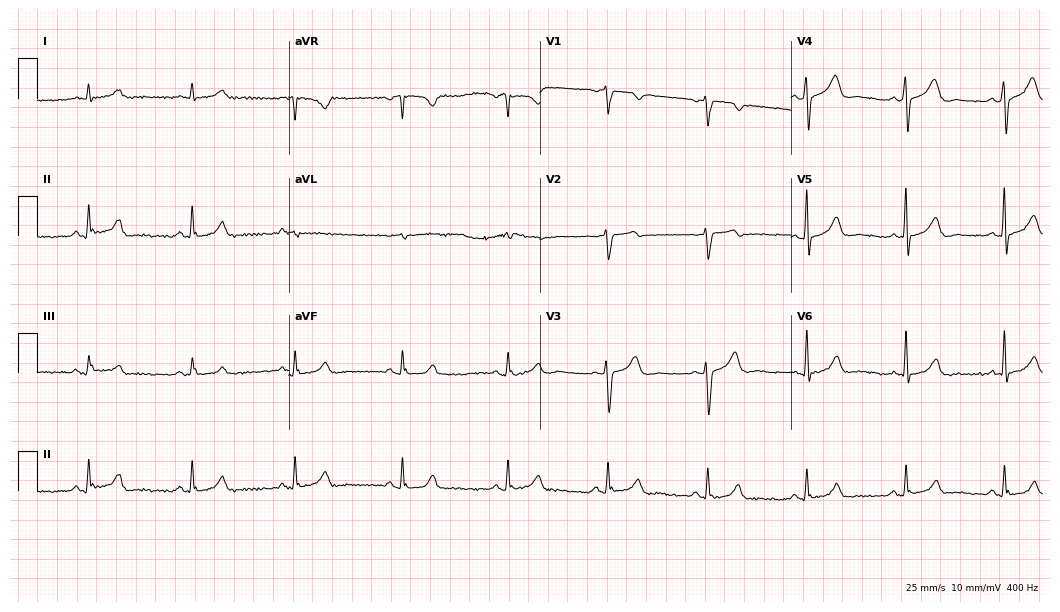
12-lead ECG (10.2-second recording at 400 Hz) from a 57-year-old male. Labelled as a normal ECG.